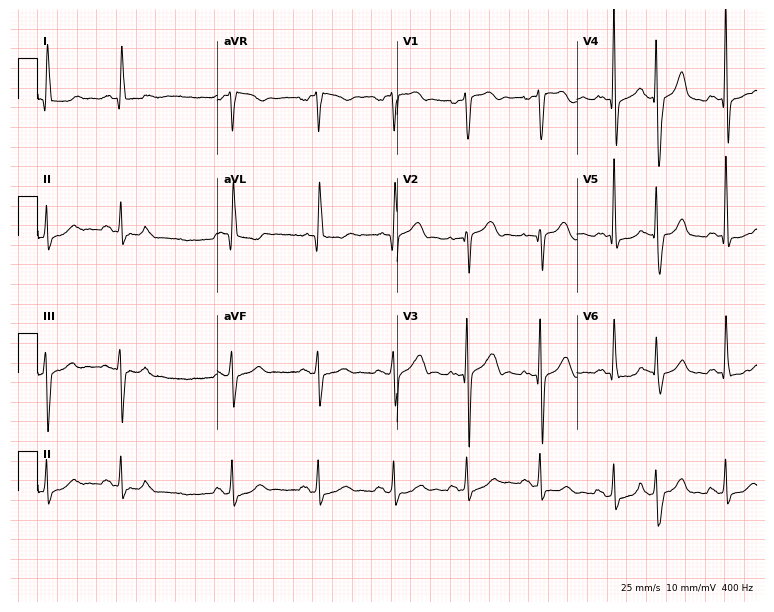
12-lead ECG from a male, 66 years old (7.3-second recording at 400 Hz). No first-degree AV block, right bundle branch block, left bundle branch block, sinus bradycardia, atrial fibrillation or sinus tachycardia recorded for this tracing. Other findings, if any, are not listed.